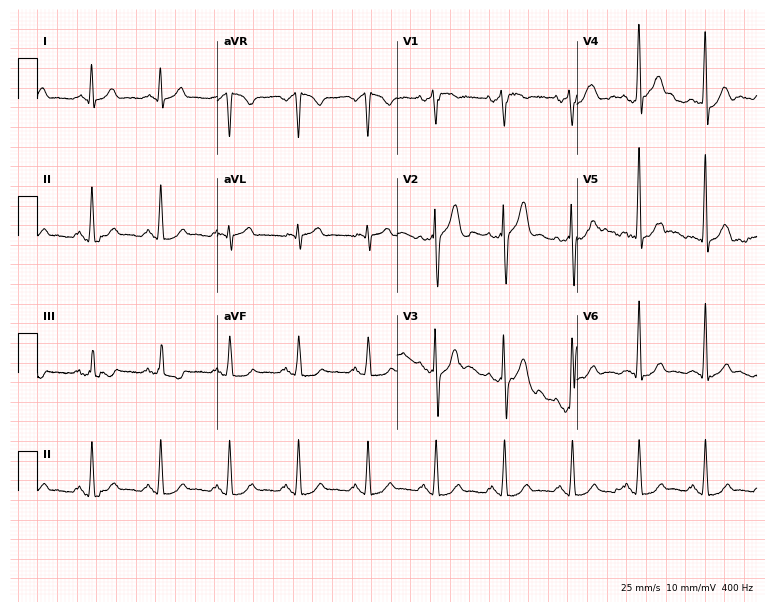
ECG (7.3-second recording at 400 Hz) — a male patient, 51 years old. Labelled as a normal ECG.